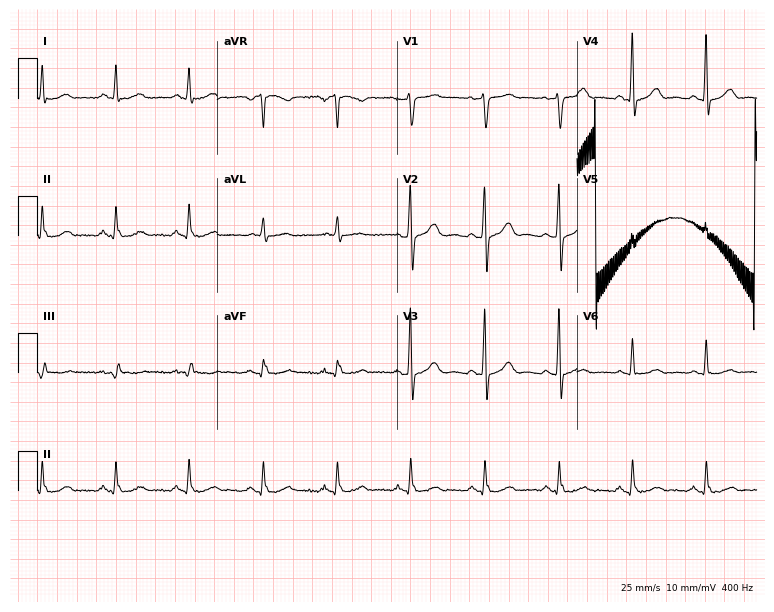
ECG (7.3-second recording at 400 Hz) — a 60-year-old male patient. Labelled as a normal ECG.